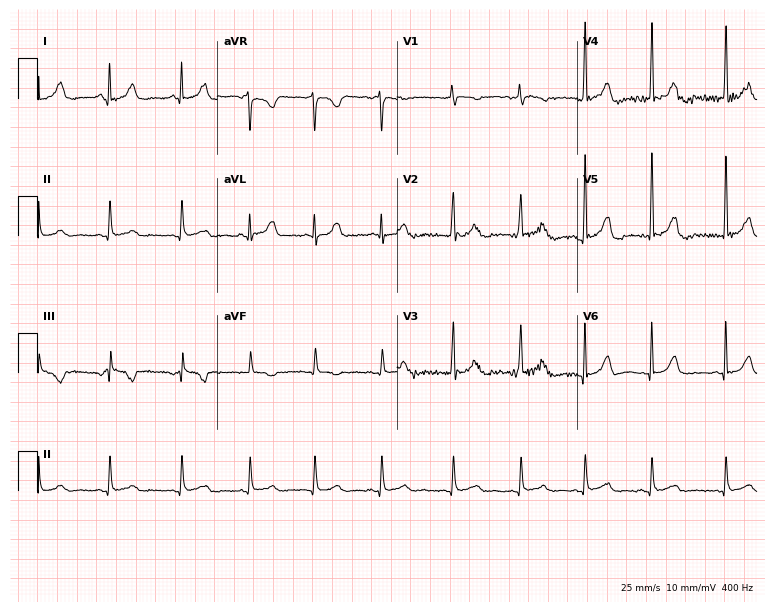
12-lead ECG (7.3-second recording at 400 Hz) from a 21-year-old male. Labelled as a normal ECG.